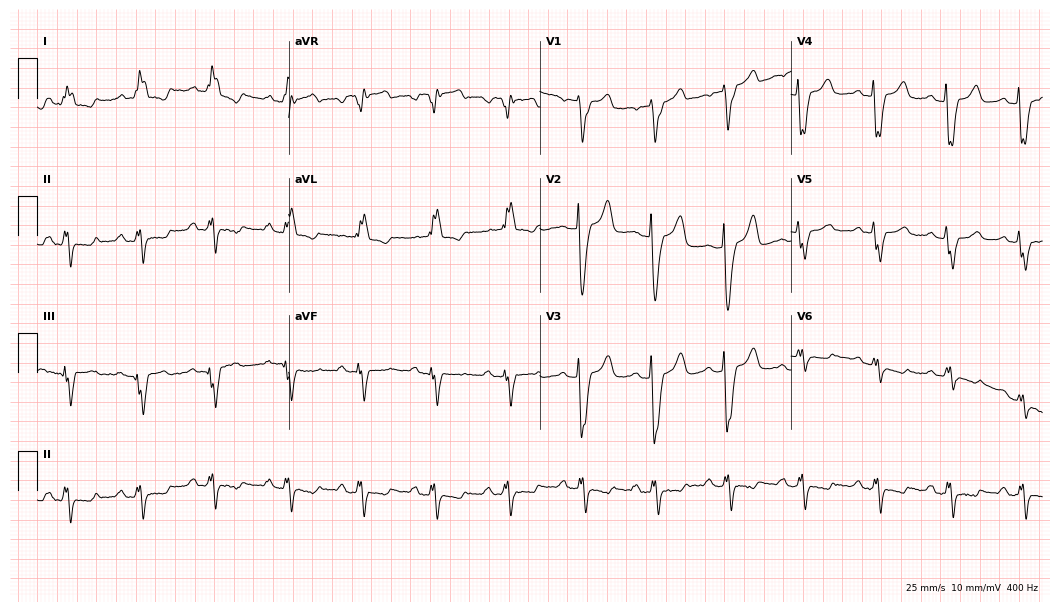
Resting 12-lead electrocardiogram. Patient: a woman, 67 years old. The tracing shows left bundle branch block.